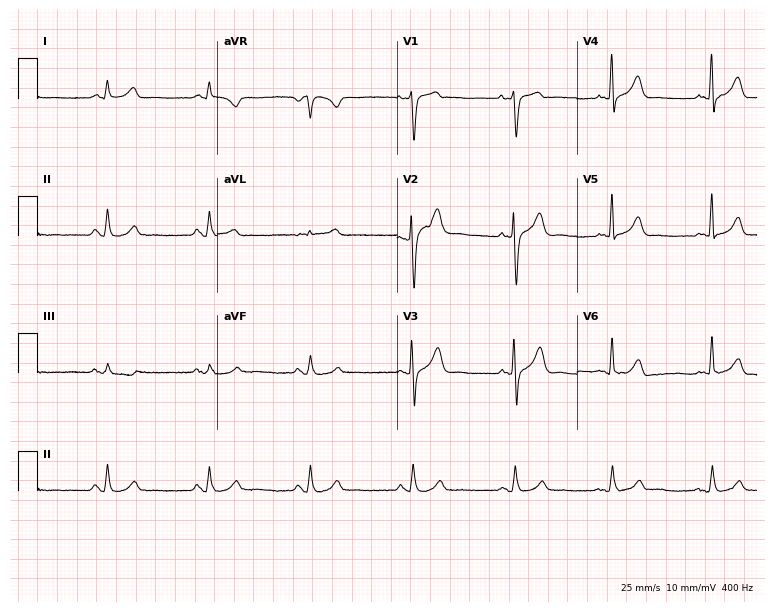
Electrocardiogram, a male patient, 68 years old. Of the six screened findings (first-degree AV block, right bundle branch block (RBBB), left bundle branch block (LBBB), sinus bradycardia, atrial fibrillation (AF), sinus tachycardia), none is recorded.